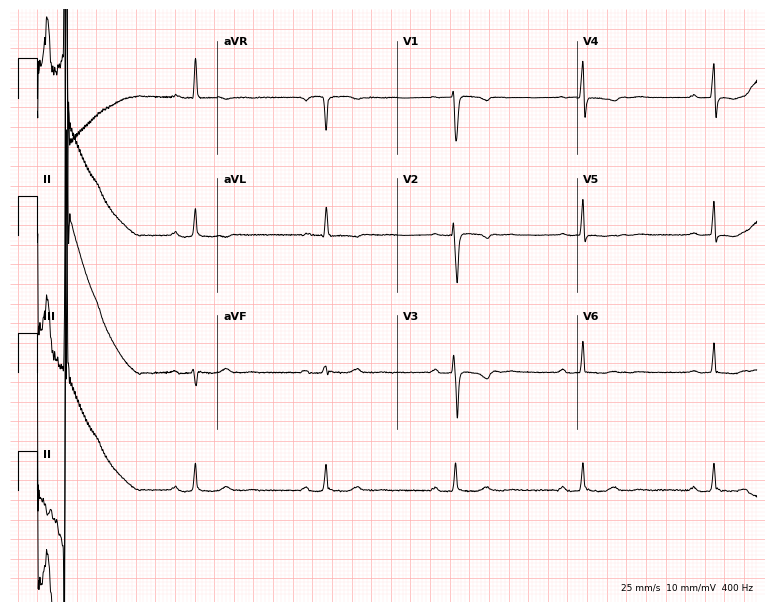
ECG — a female patient, 65 years old. Findings include first-degree AV block, sinus bradycardia (a sinus rate of 50 beats per minute or less).